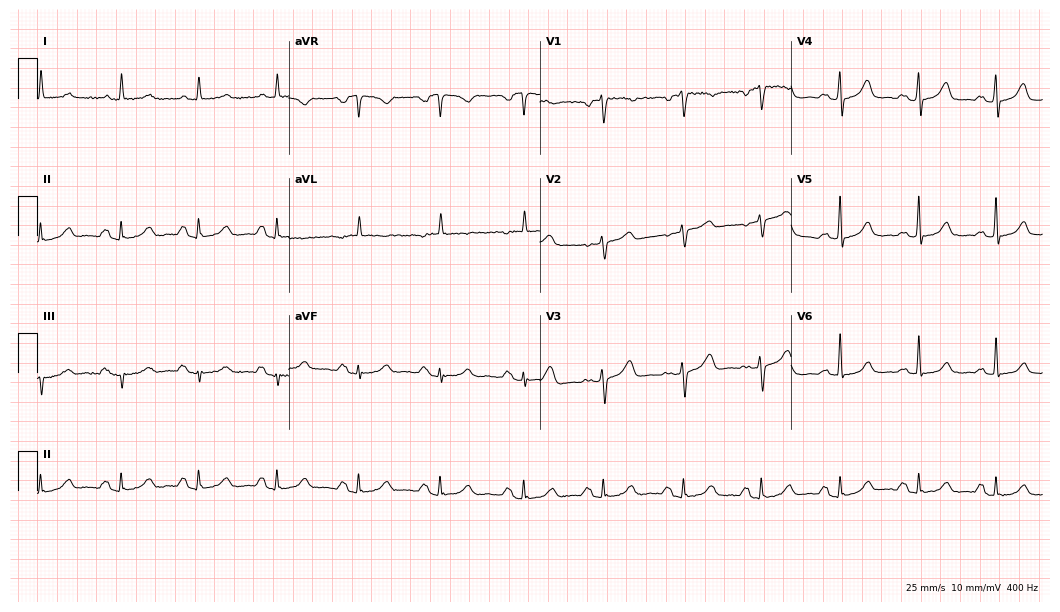
Standard 12-lead ECG recorded from a woman, 49 years old. None of these six findings is recorded: first-degree AV block, right bundle branch block (RBBB), left bundle branch block (LBBB), sinus bradycardia, atrial fibrillation (AF), sinus tachycardia.